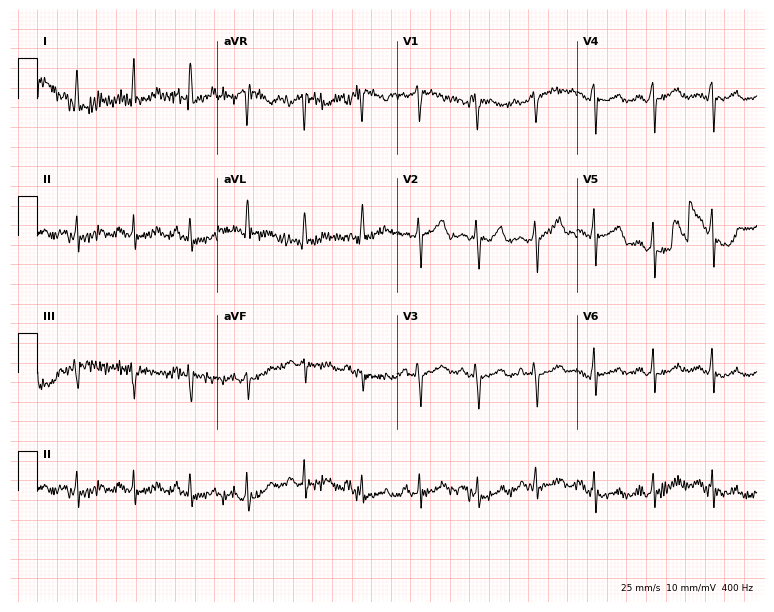
Electrocardiogram, a female, 42 years old. Of the six screened findings (first-degree AV block, right bundle branch block, left bundle branch block, sinus bradycardia, atrial fibrillation, sinus tachycardia), none is recorded. Only these six findings were labelled.